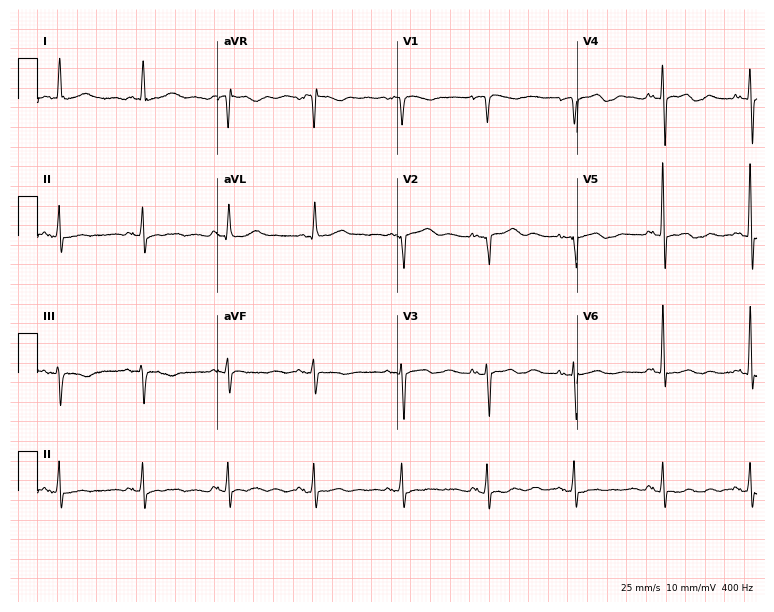
Electrocardiogram (7.3-second recording at 400 Hz), a 71-year-old female patient. Of the six screened findings (first-degree AV block, right bundle branch block (RBBB), left bundle branch block (LBBB), sinus bradycardia, atrial fibrillation (AF), sinus tachycardia), none is recorded. Only these six findings were labelled.